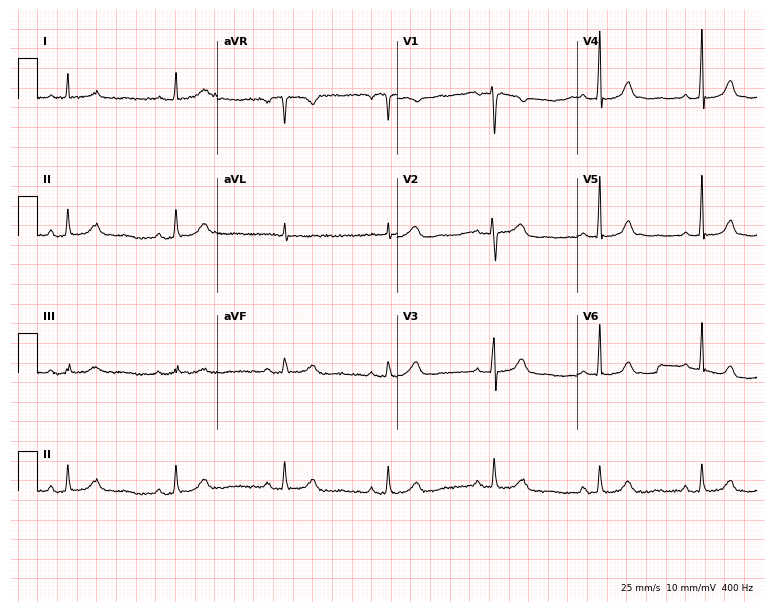
Electrocardiogram, a female patient, 53 years old. Overall reading on record: normal ECG.